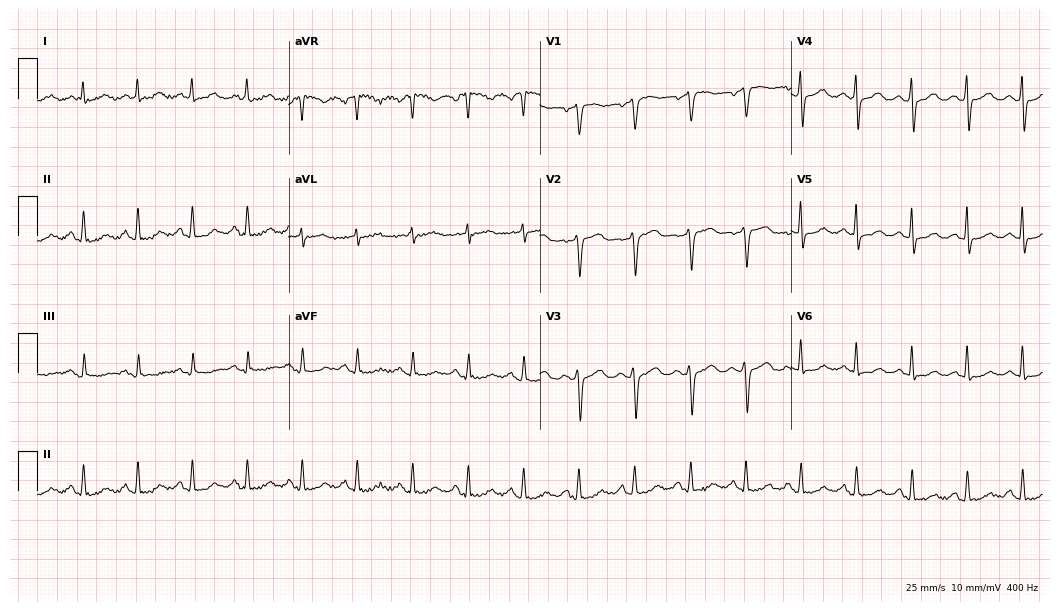
12-lead ECG from a female patient, 70 years old (10.2-second recording at 400 Hz). Shows sinus tachycardia (a sinus rate of 100 beats per minute or more).